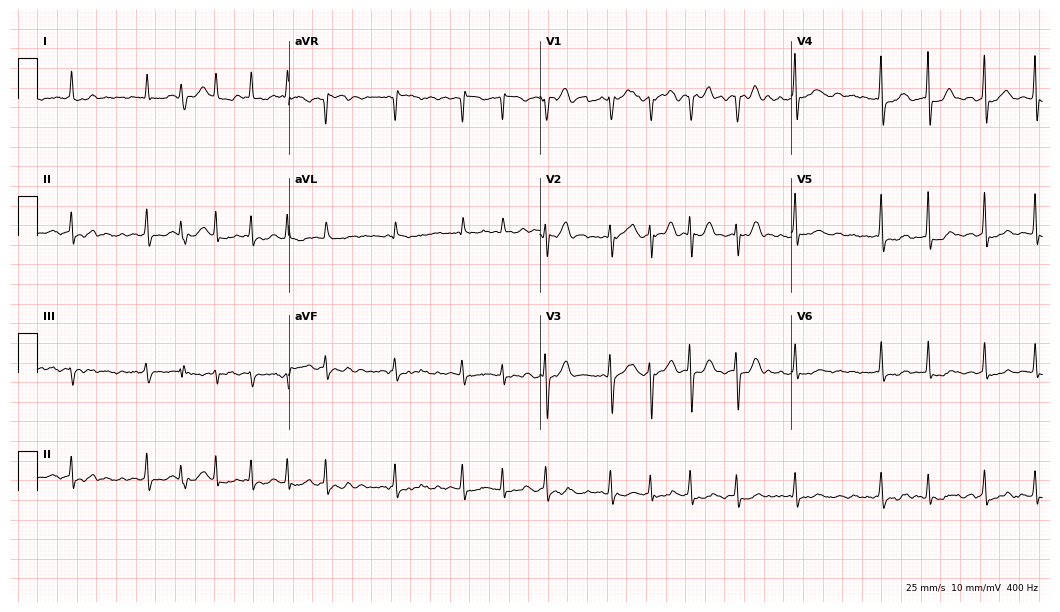
Standard 12-lead ECG recorded from a 61-year-old female (10.2-second recording at 400 Hz). The tracing shows atrial fibrillation (AF).